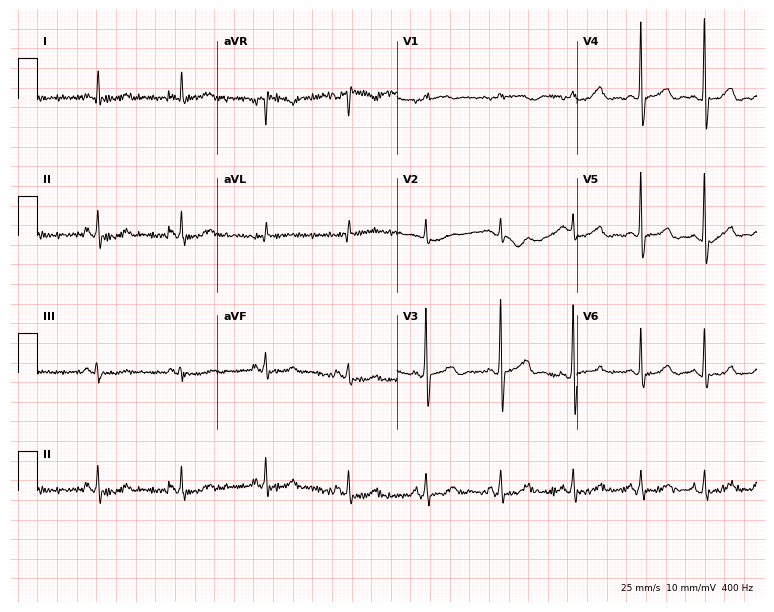
ECG — a woman, 81 years old. Screened for six findings — first-degree AV block, right bundle branch block, left bundle branch block, sinus bradycardia, atrial fibrillation, sinus tachycardia — none is recorded. Only these six findings were labelled.